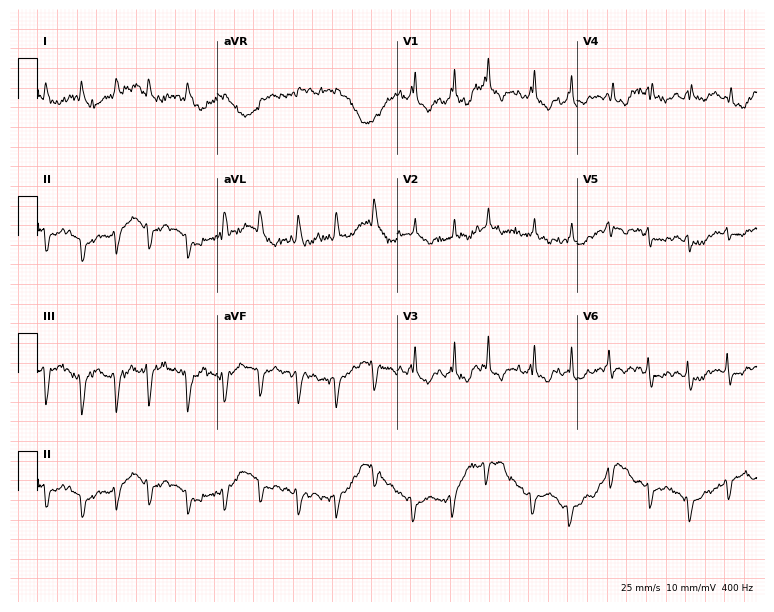
Resting 12-lead electrocardiogram (7.3-second recording at 400 Hz). Patient: a male, 77 years old. None of these six findings is recorded: first-degree AV block, right bundle branch block (RBBB), left bundle branch block (LBBB), sinus bradycardia, atrial fibrillation (AF), sinus tachycardia. Findings outside these six are not listed.